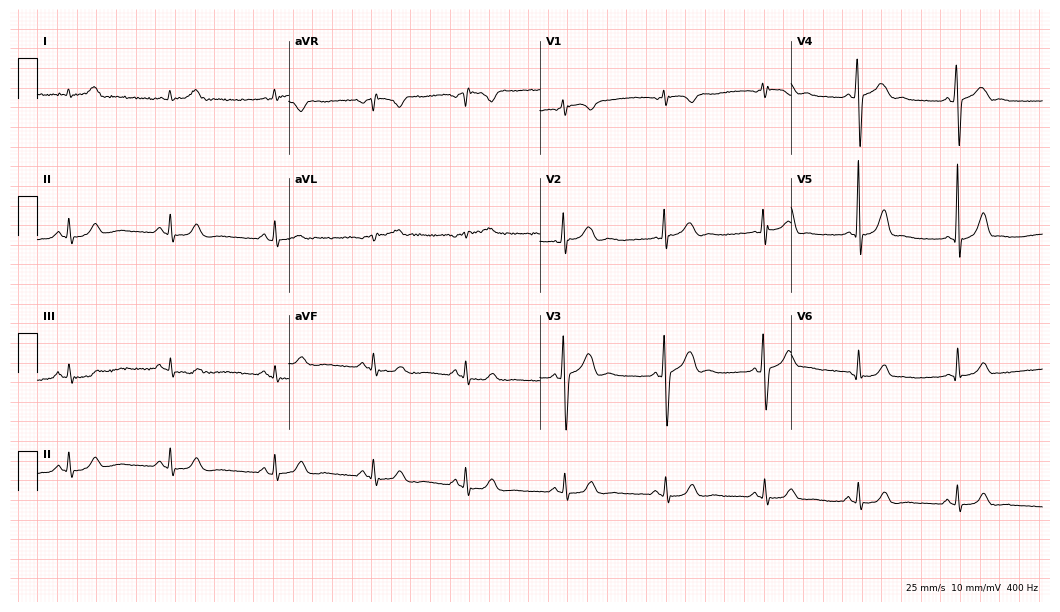
Electrocardiogram (10.2-second recording at 400 Hz), a male, 25 years old. Overall reading on record: normal ECG.